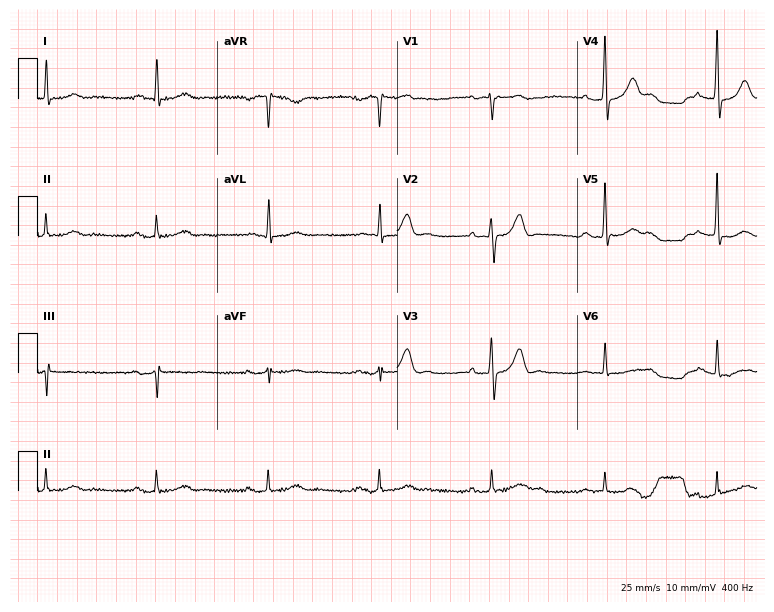
Standard 12-lead ECG recorded from a man, 78 years old. Read as a normal ECG.